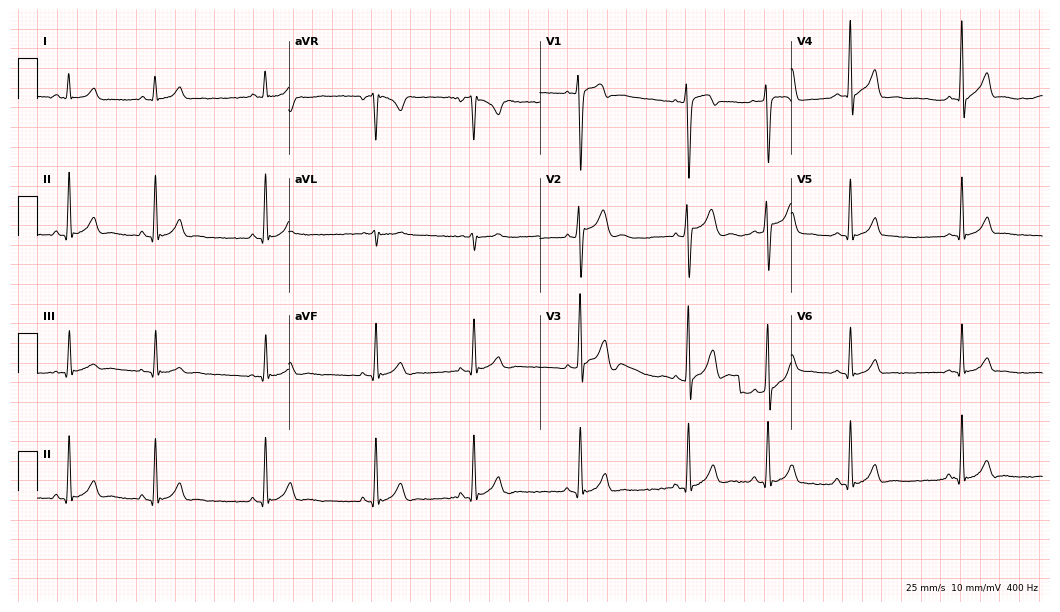
12-lead ECG from a 17-year-old male patient (10.2-second recording at 400 Hz). Recorded interpretation: within normal limits.